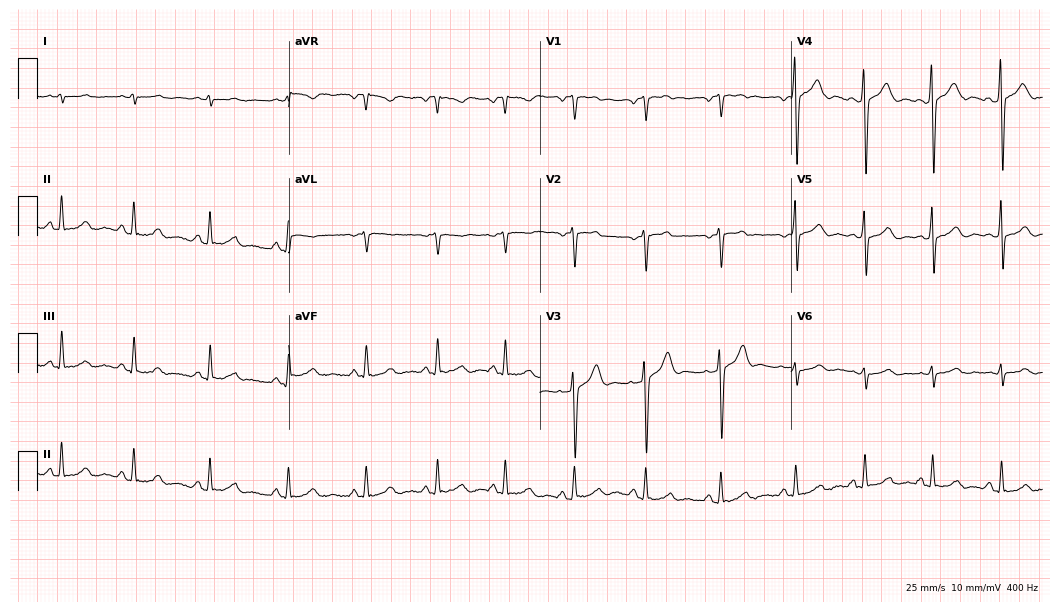
Standard 12-lead ECG recorded from a man, 21 years old. None of these six findings is recorded: first-degree AV block, right bundle branch block, left bundle branch block, sinus bradycardia, atrial fibrillation, sinus tachycardia.